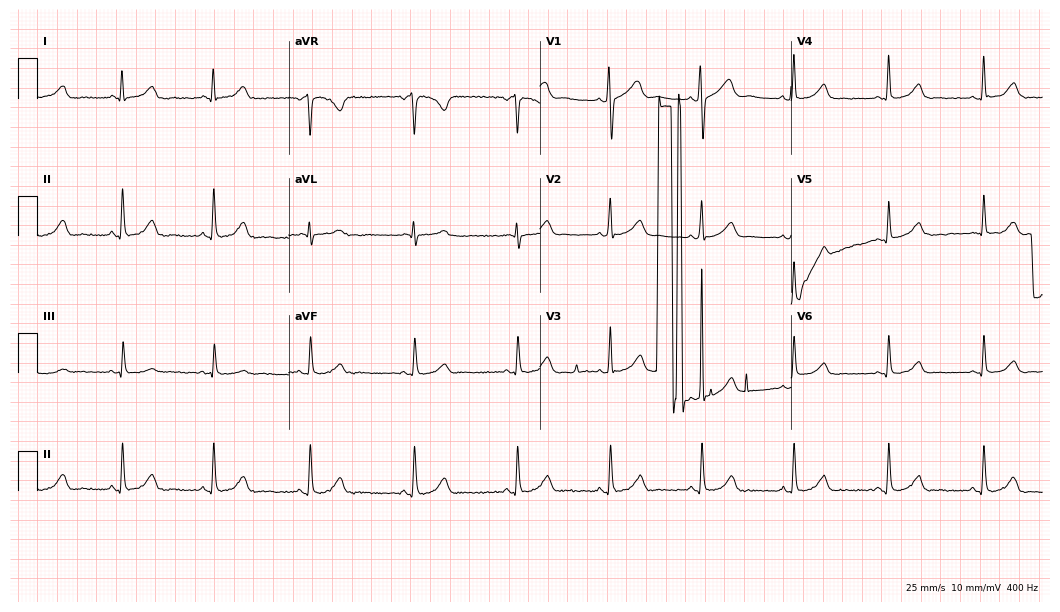
Electrocardiogram (10.2-second recording at 400 Hz), a 38-year-old woman. Overall reading on record: normal ECG.